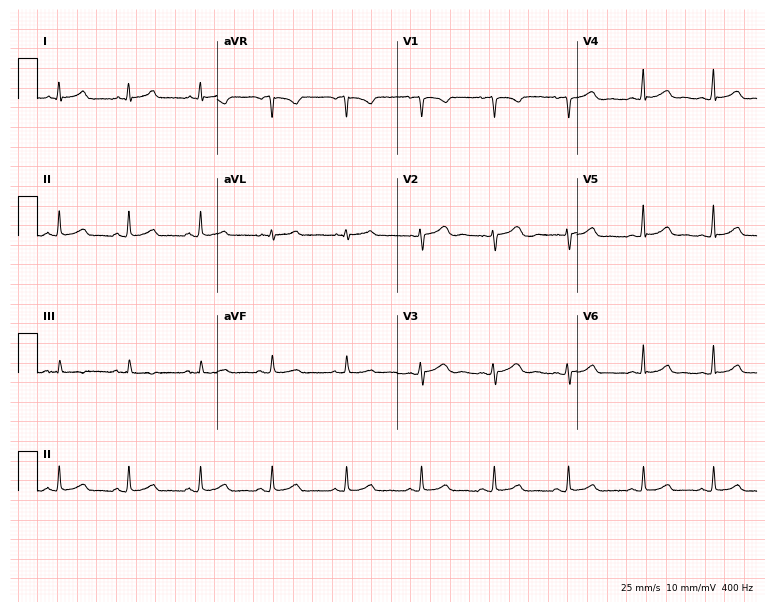
Electrocardiogram (7.3-second recording at 400 Hz), a 26-year-old female. Overall reading on record: normal ECG.